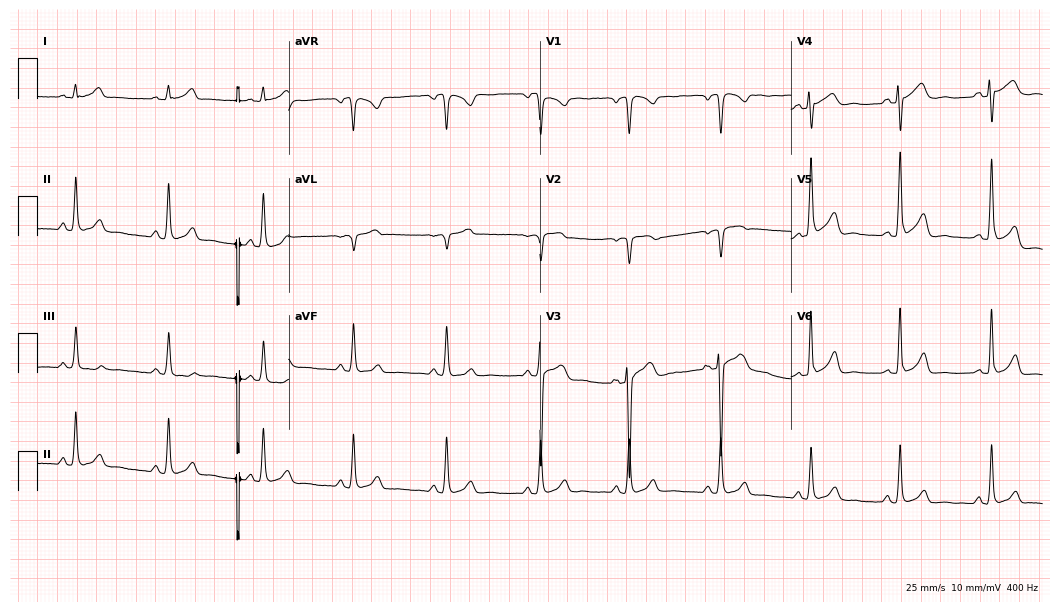
Electrocardiogram, a 37-year-old male patient. Overall reading on record: normal ECG.